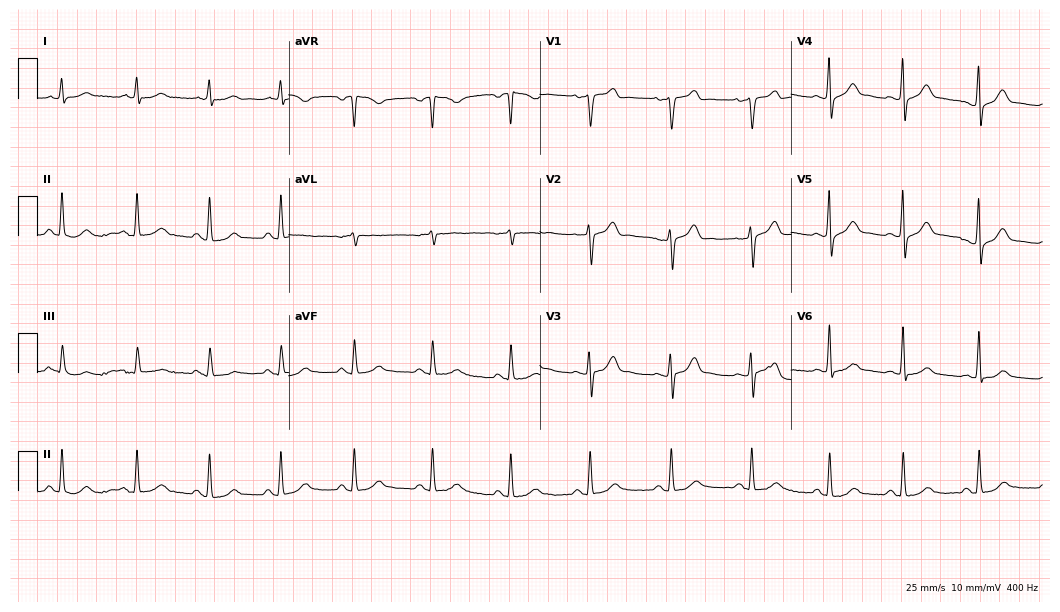
Standard 12-lead ECG recorded from a 50-year-old male. None of these six findings is recorded: first-degree AV block, right bundle branch block, left bundle branch block, sinus bradycardia, atrial fibrillation, sinus tachycardia.